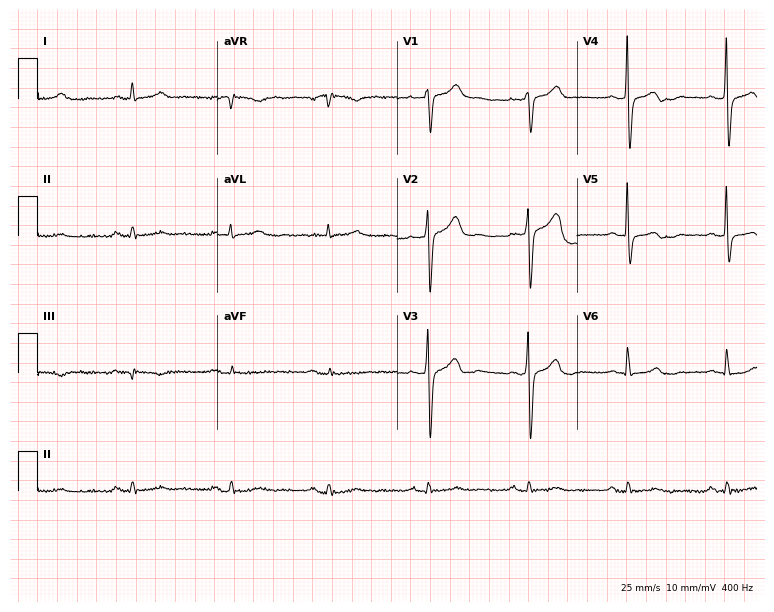
ECG — a 48-year-old male. Screened for six findings — first-degree AV block, right bundle branch block, left bundle branch block, sinus bradycardia, atrial fibrillation, sinus tachycardia — none is recorded. Findings outside these six are not listed.